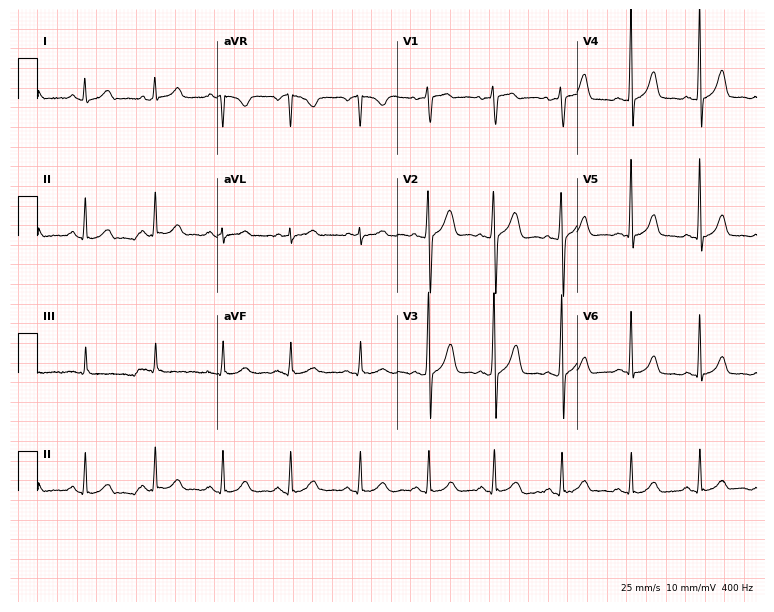
12-lead ECG from a 42-year-old woman (7.3-second recording at 400 Hz). No first-degree AV block, right bundle branch block, left bundle branch block, sinus bradycardia, atrial fibrillation or sinus tachycardia recorded for this tracing. Other findings, if any, are not listed.